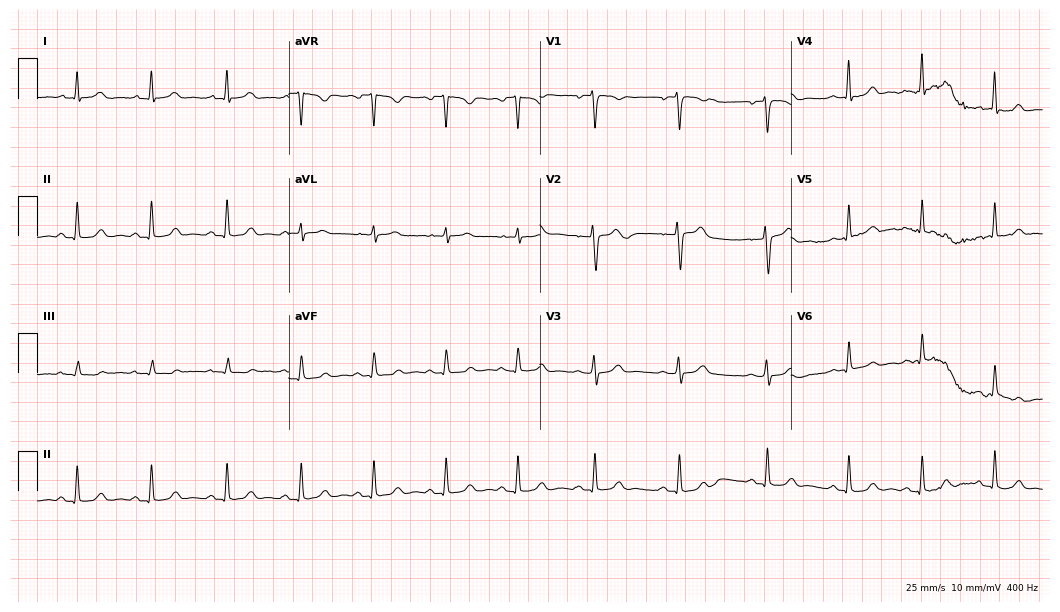
Electrocardiogram (10.2-second recording at 400 Hz), a 29-year-old female. Overall reading on record: normal ECG.